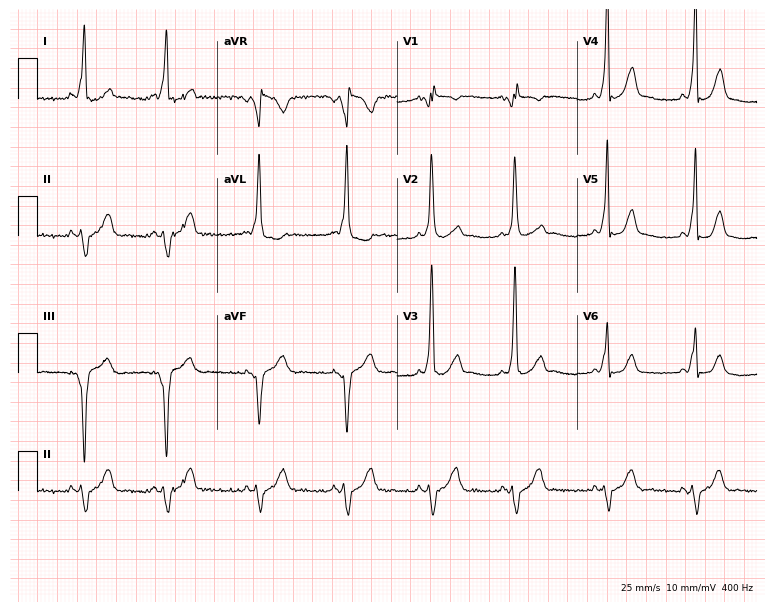
ECG — a 30-year-old female patient. Screened for six findings — first-degree AV block, right bundle branch block, left bundle branch block, sinus bradycardia, atrial fibrillation, sinus tachycardia — none is recorded. Findings outside these six are not listed.